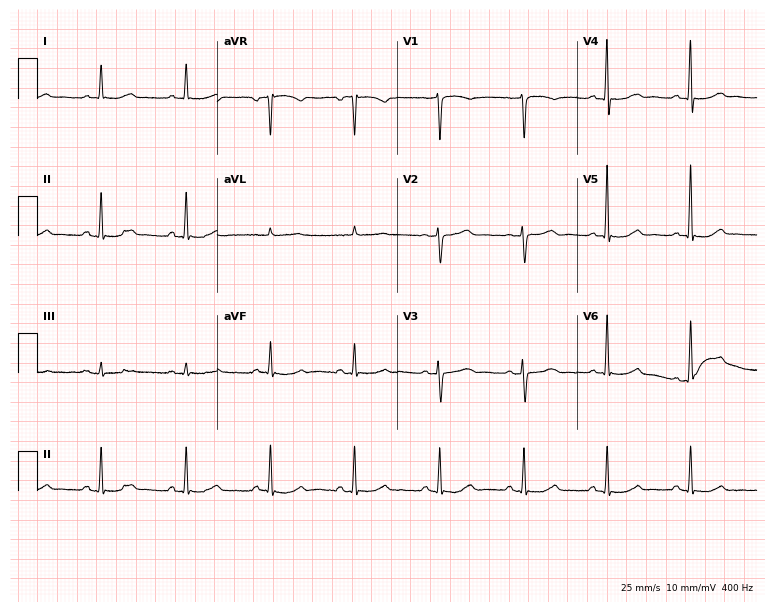
12-lead ECG from a 72-year-old woman. Recorded interpretation: within normal limits.